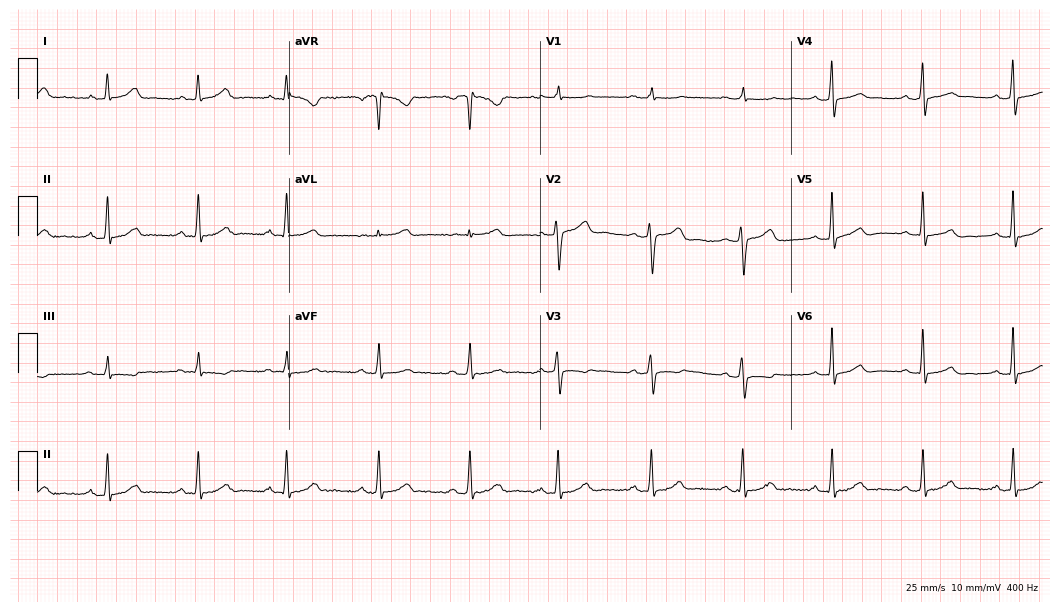
12-lead ECG from a 35-year-old woman. Recorded interpretation: within normal limits.